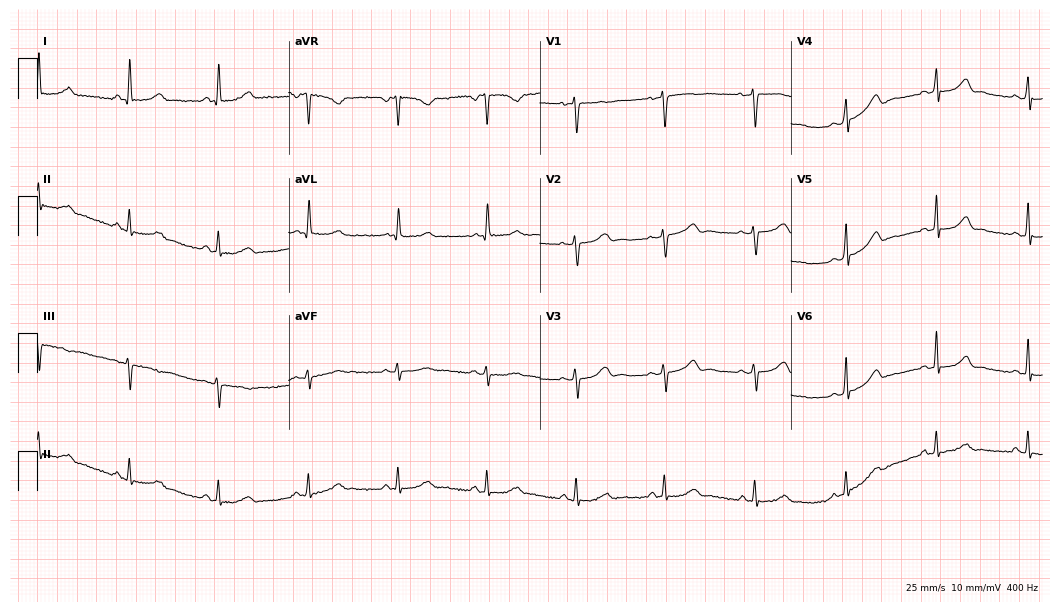
12-lead ECG from a 42-year-old female patient. Labelled as a normal ECG.